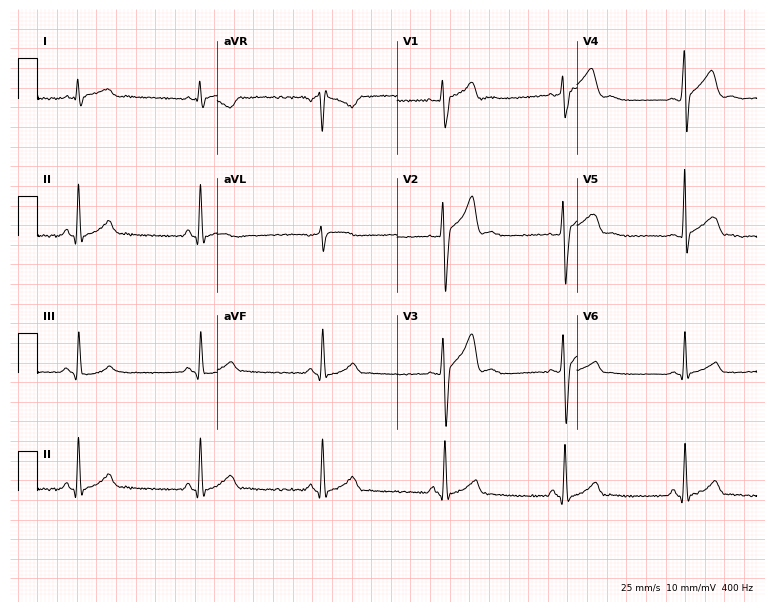
Standard 12-lead ECG recorded from a 19-year-old male patient. The tracing shows sinus bradycardia (a sinus rate of 50 beats per minute or less).